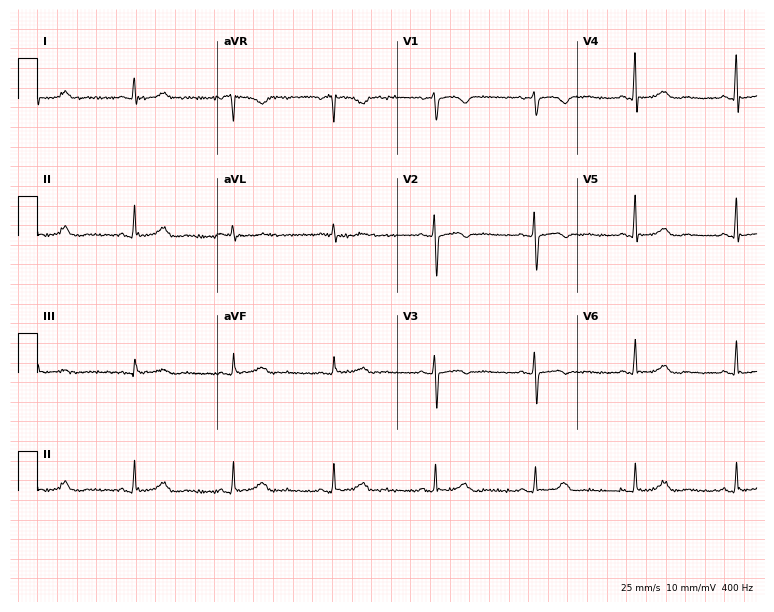
Standard 12-lead ECG recorded from a 56-year-old female patient. None of these six findings is recorded: first-degree AV block, right bundle branch block, left bundle branch block, sinus bradycardia, atrial fibrillation, sinus tachycardia. Findings outside these six are not listed.